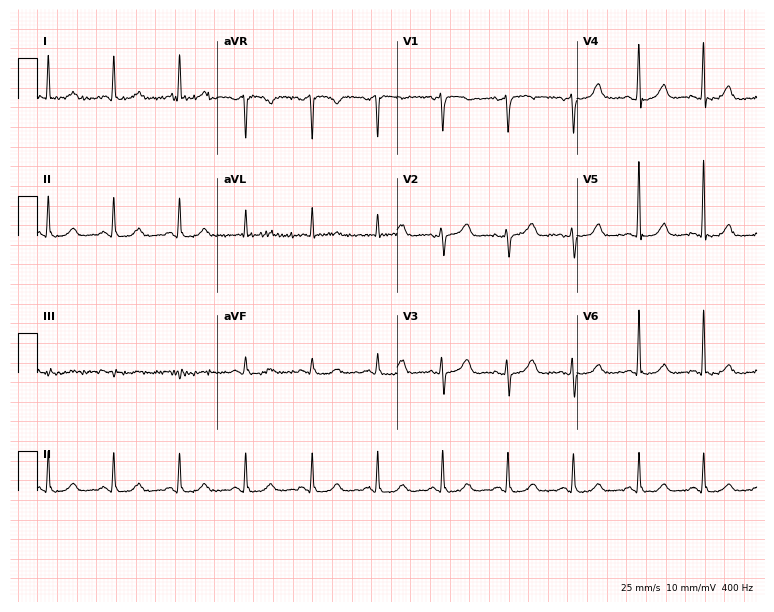
12-lead ECG from a 63-year-old female. Labelled as a normal ECG.